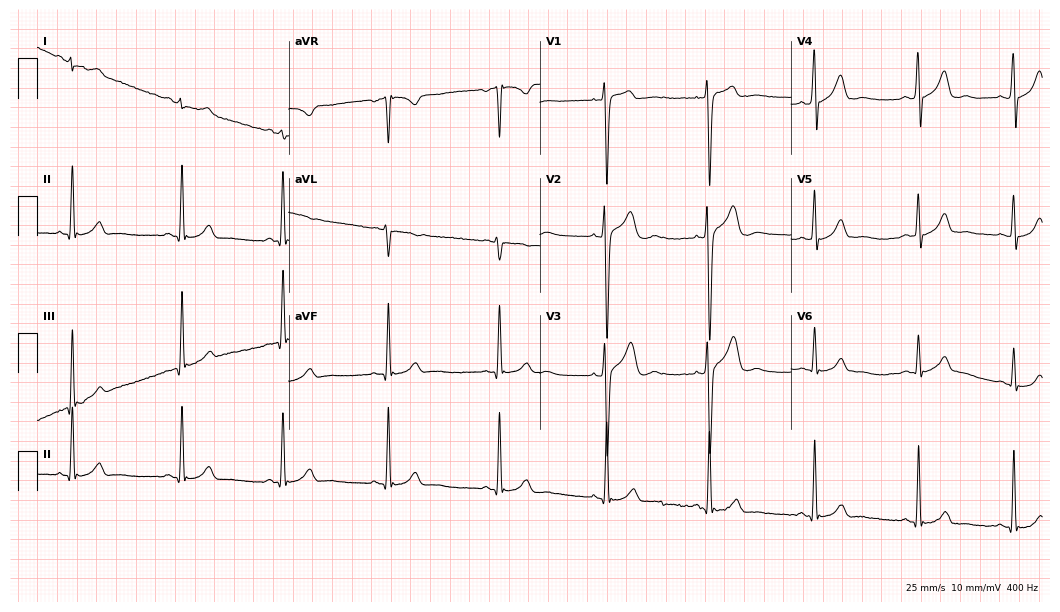
12-lead ECG (10.2-second recording at 400 Hz) from a male, 20 years old. Labelled as a normal ECG.